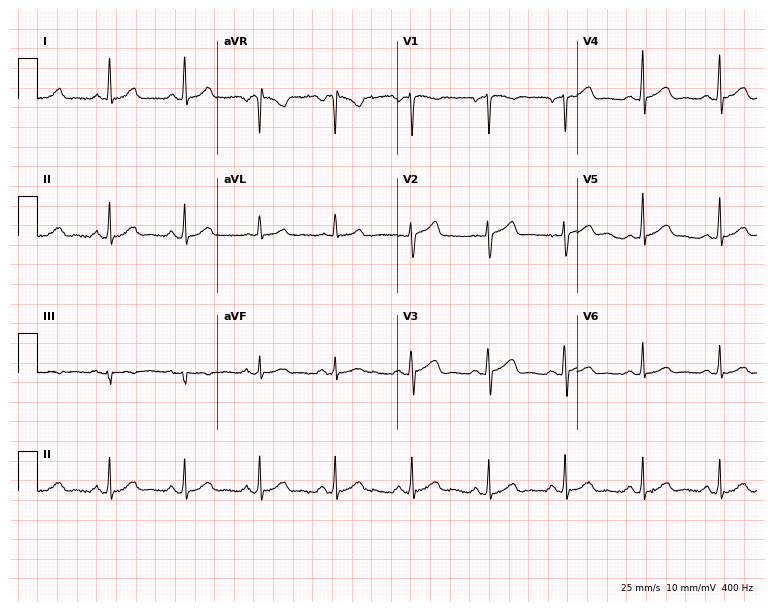
12-lead ECG (7.3-second recording at 400 Hz) from a man, 53 years old. Labelled as a normal ECG.